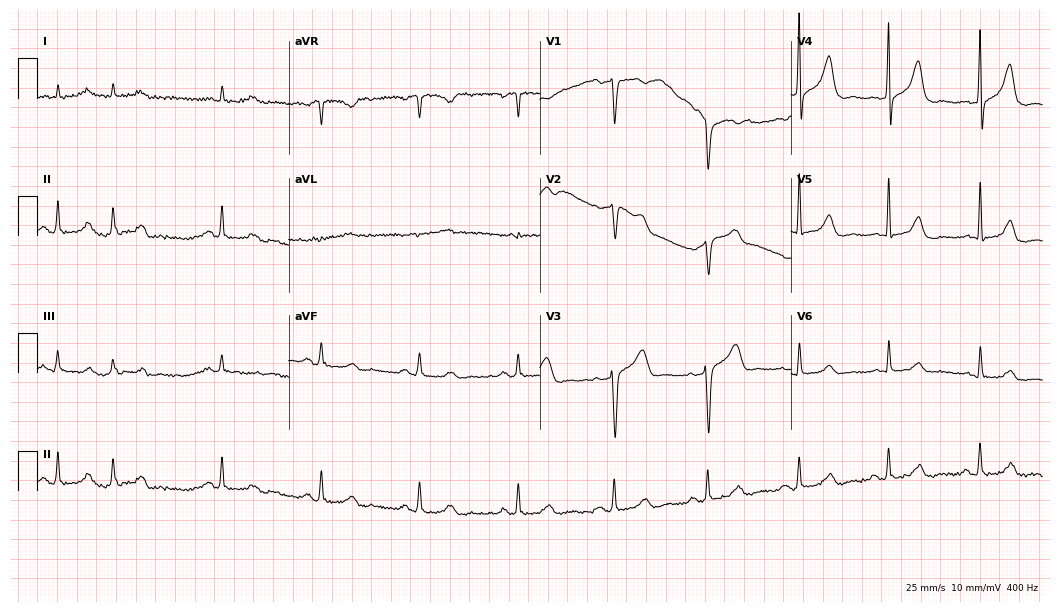
ECG — a man, 67 years old. Screened for six findings — first-degree AV block, right bundle branch block (RBBB), left bundle branch block (LBBB), sinus bradycardia, atrial fibrillation (AF), sinus tachycardia — none is recorded.